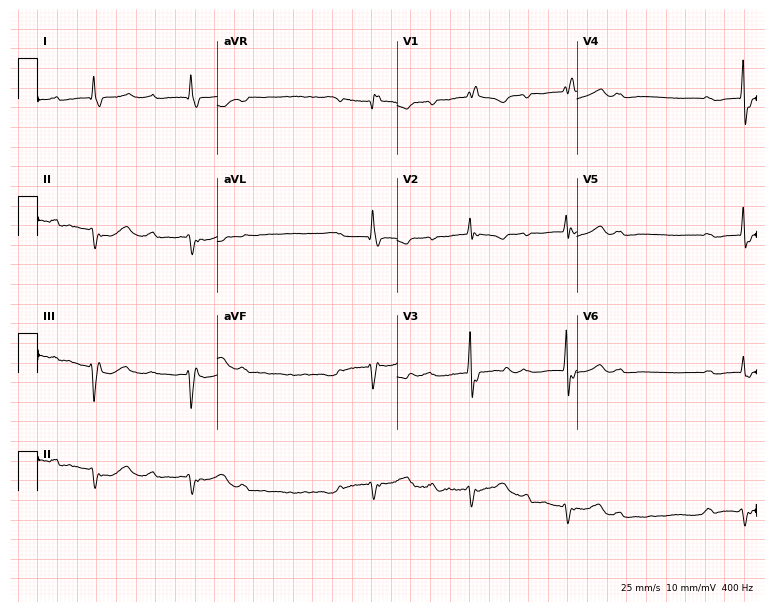
Standard 12-lead ECG recorded from an 83-year-old female (7.3-second recording at 400 Hz). The tracing shows right bundle branch block (RBBB).